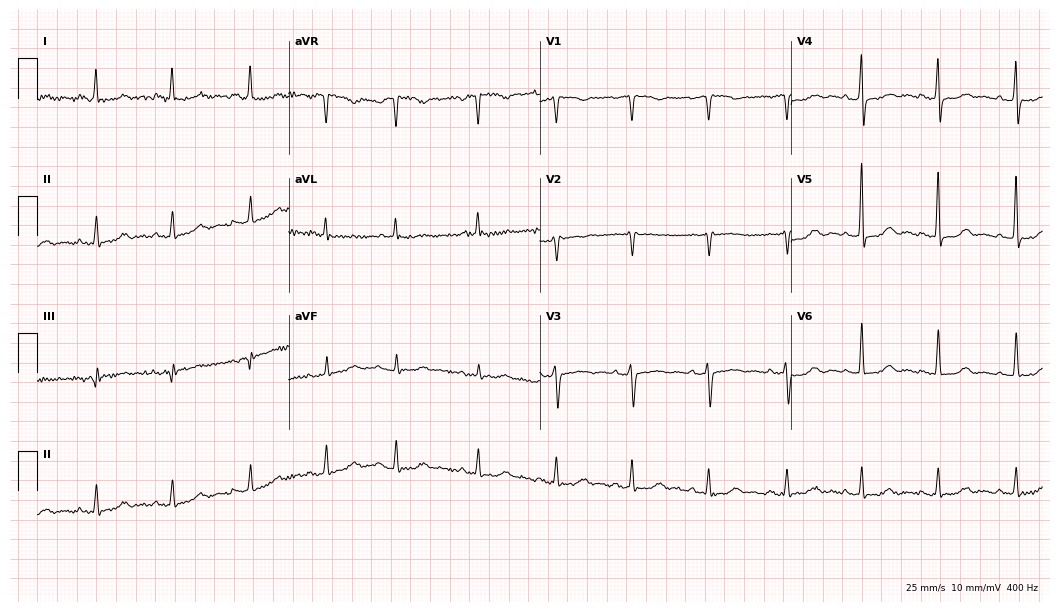
Resting 12-lead electrocardiogram. Patient: a 62-year-old female. Read as a normal ECG.